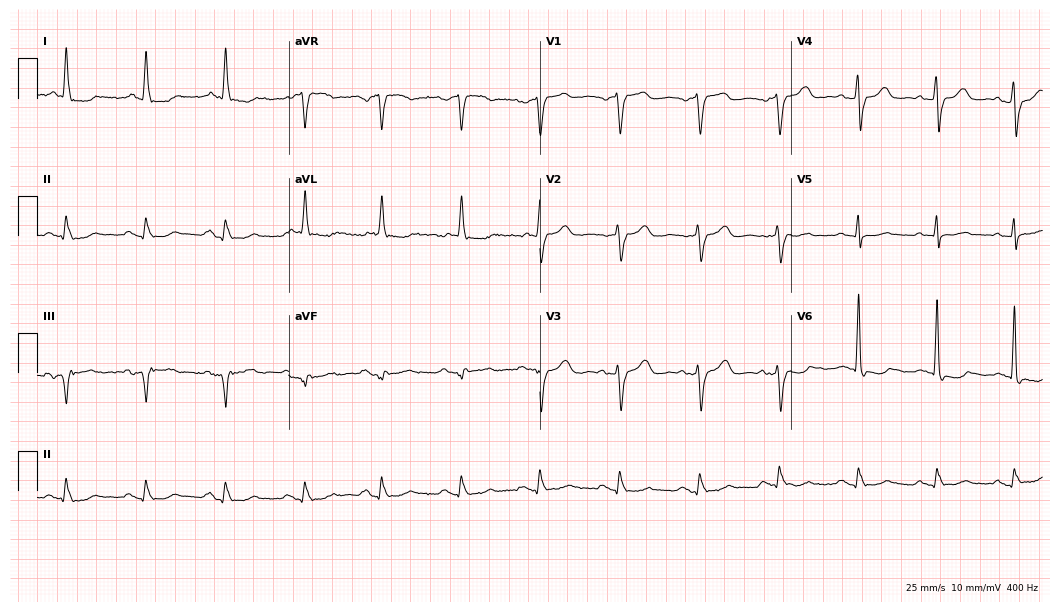
ECG — a male patient, 77 years old. Screened for six findings — first-degree AV block, right bundle branch block, left bundle branch block, sinus bradycardia, atrial fibrillation, sinus tachycardia — none is recorded. Findings outside these six are not listed.